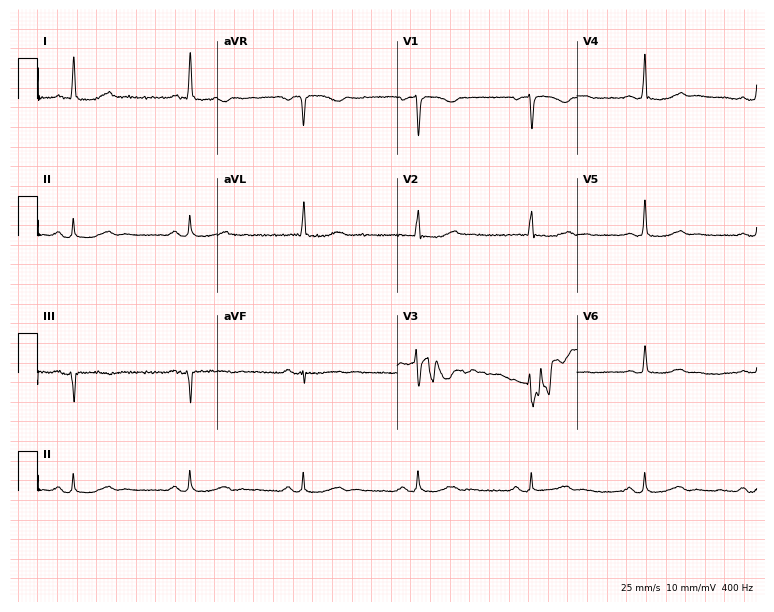
Resting 12-lead electrocardiogram (7.3-second recording at 400 Hz). Patient: a female, 66 years old. Read as a normal ECG.